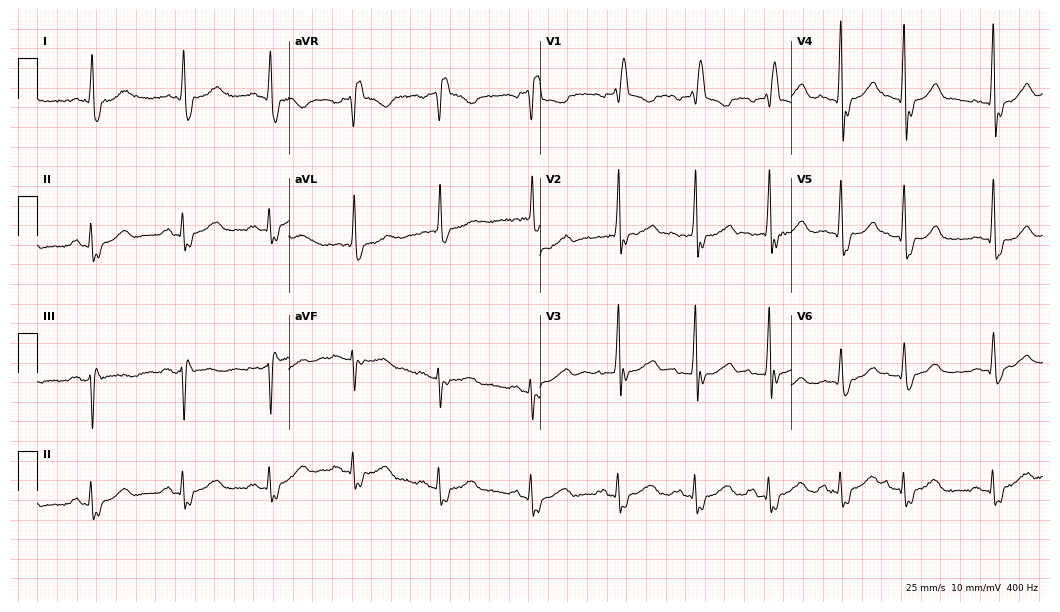
ECG (10.2-second recording at 400 Hz) — a woman, 77 years old. Findings include right bundle branch block.